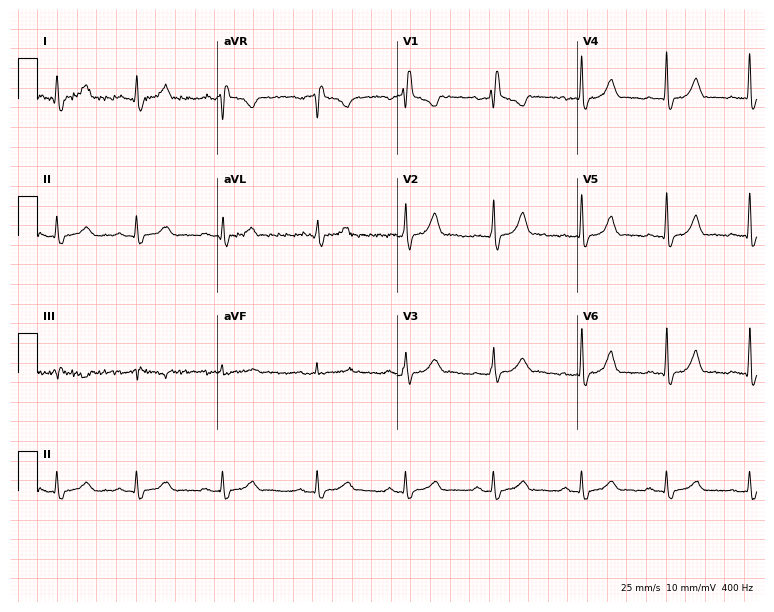
12-lead ECG from a female patient, 42 years old. Shows right bundle branch block.